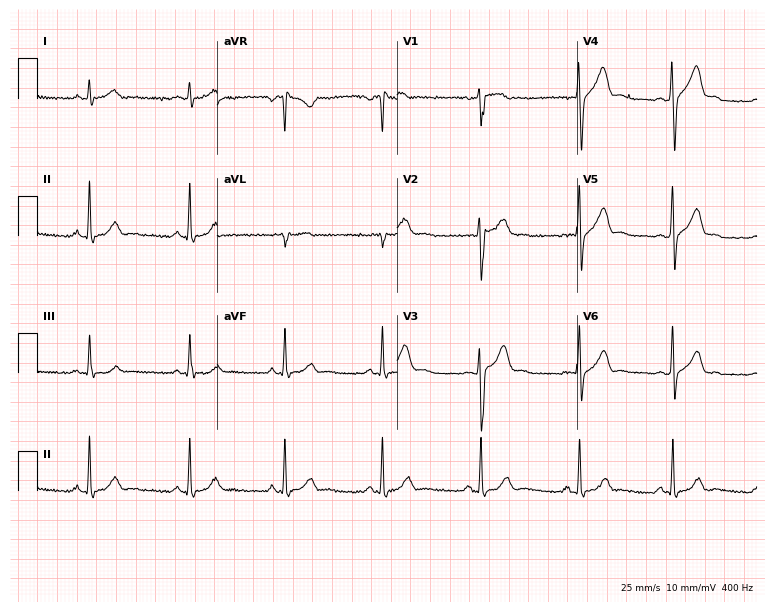
12-lead ECG from a 35-year-old male. Recorded interpretation: within normal limits.